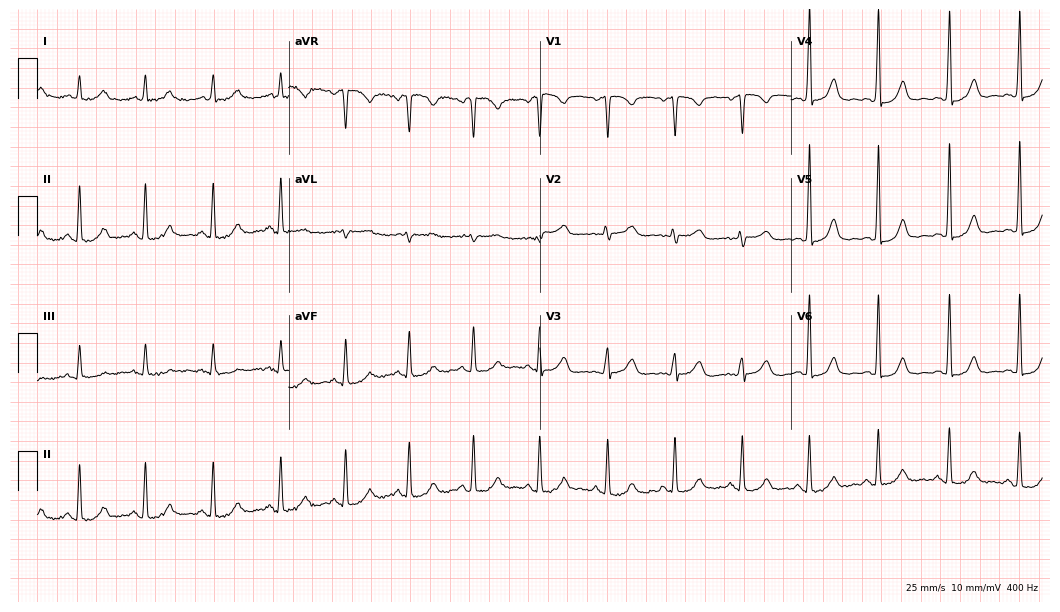
12-lead ECG from a 44-year-old female. Labelled as a normal ECG.